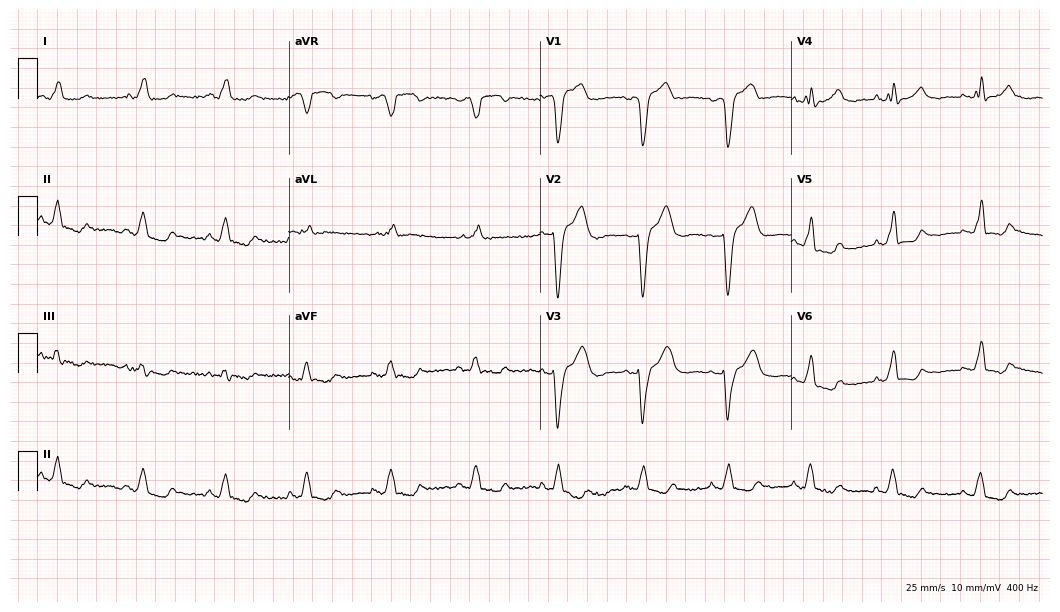
12-lead ECG from a female, 78 years old. Shows left bundle branch block.